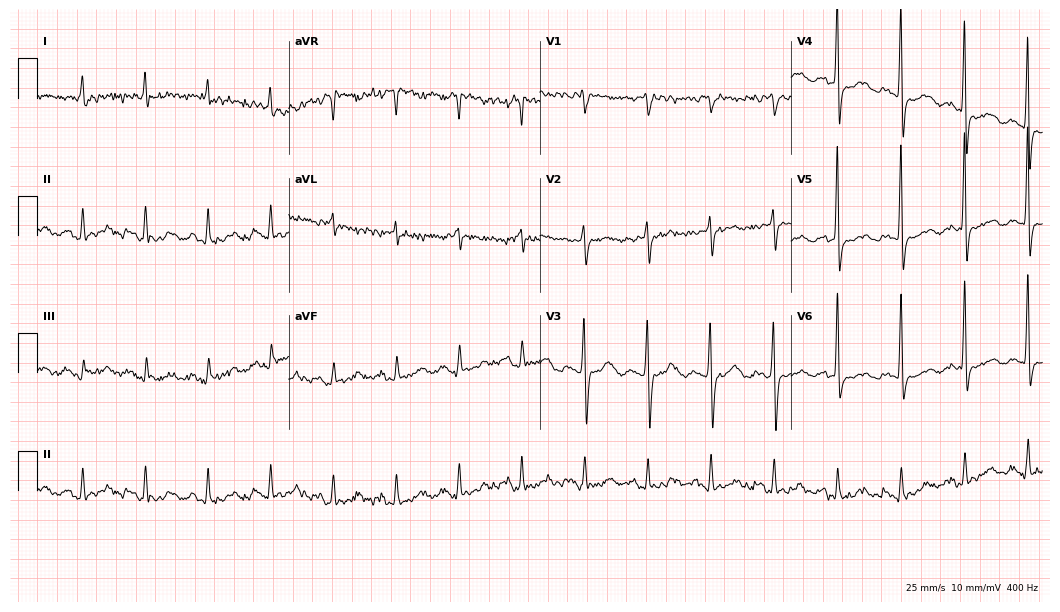
ECG — an 82-year-old female patient. Screened for six findings — first-degree AV block, right bundle branch block, left bundle branch block, sinus bradycardia, atrial fibrillation, sinus tachycardia — none is recorded.